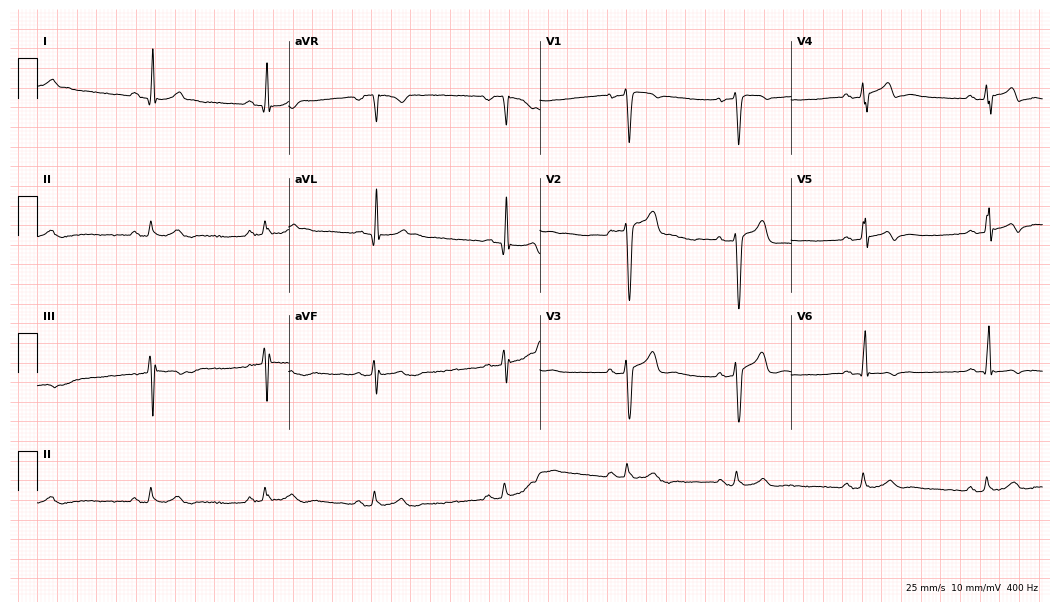
Standard 12-lead ECG recorded from a 37-year-old male (10.2-second recording at 400 Hz). None of these six findings is recorded: first-degree AV block, right bundle branch block, left bundle branch block, sinus bradycardia, atrial fibrillation, sinus tachycardia. Other findings, if any, are not listed.